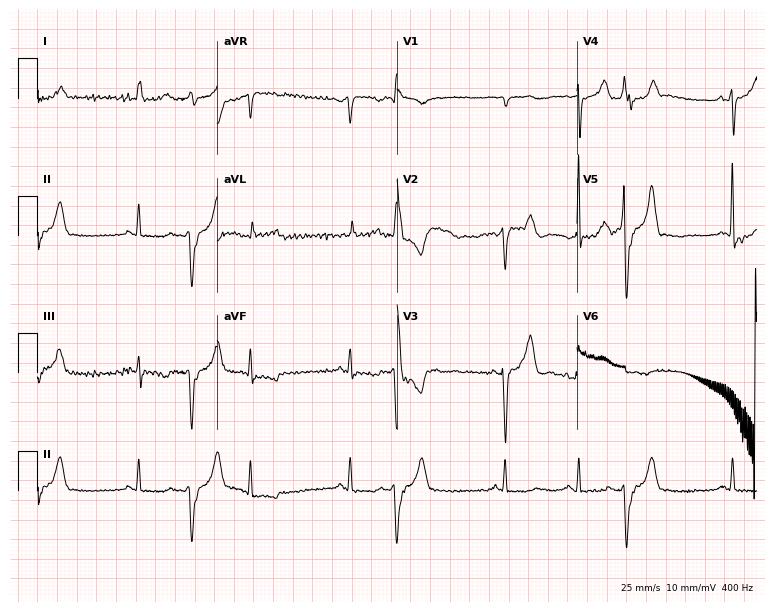
Electrocardiogram (7.3-second recording at 400 Hz), a 76-year-old female. Of the six screened findings (first-degree AV block, right bundle branch block, left bundle branch block, sinus bradycardia, atrial fibrillation, sinus tachycardia), none is recorded.